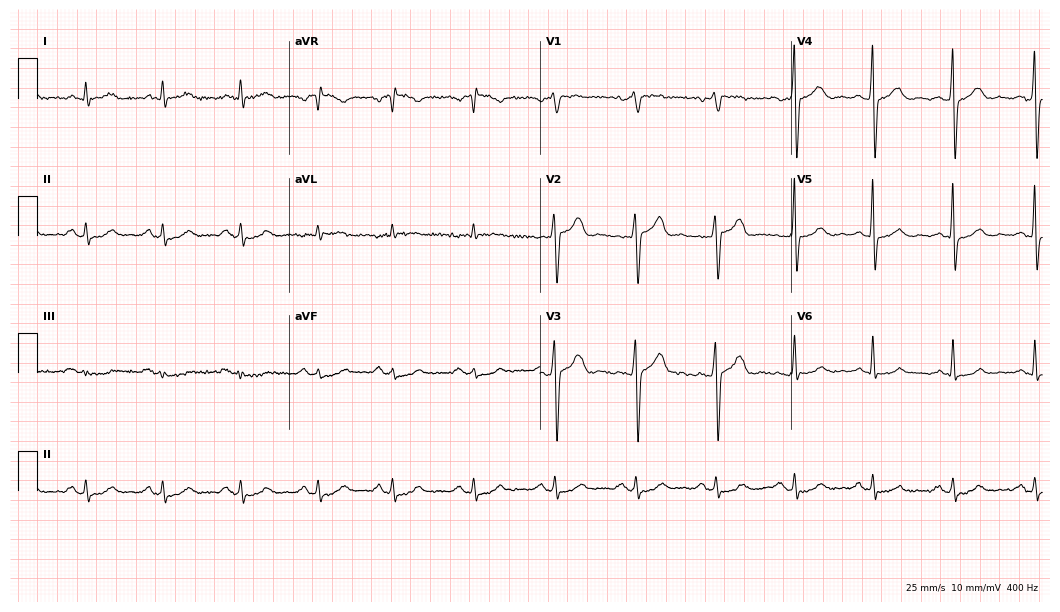
12-lead ECG from a 57-year-old man (10.2-second recording at 400 Hz). Recorded interpretation: within normal limits.